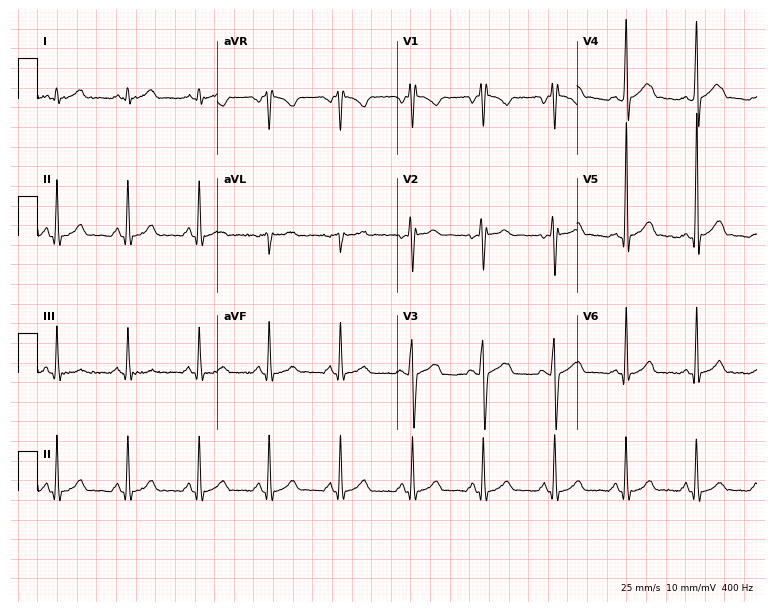
Resting 12-lead electrocardiogram. Patient: a man, 17 years old. None of these six findings is recorded: first-degree AV block, right bundle branch block, left bundle branch block, sinus bradycardia, atrial fibrillation, sinus tachycardia.